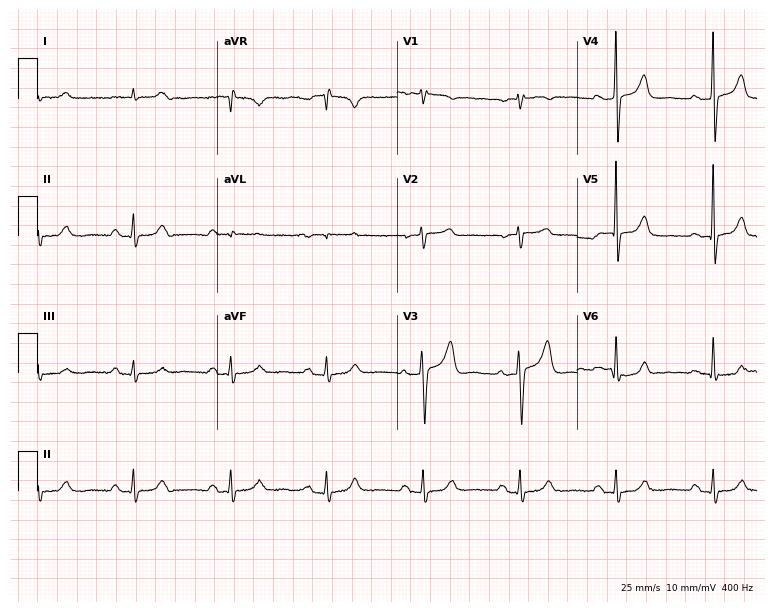
Electrocardiogram, a male patient, 81 years old. Overall reading on record: normal ECG.